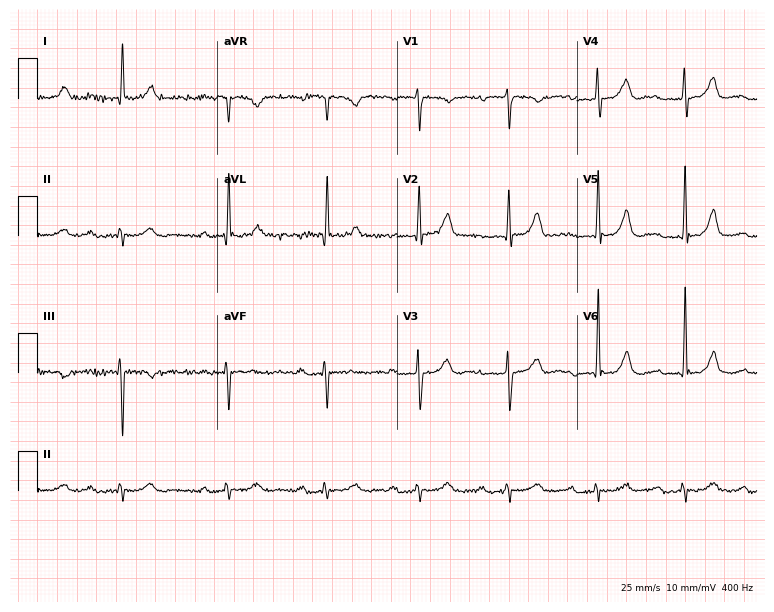
Resting 12-lead electrocardiogram. Patient: a male, 80 years old. The tracing shows first-degree AV block.